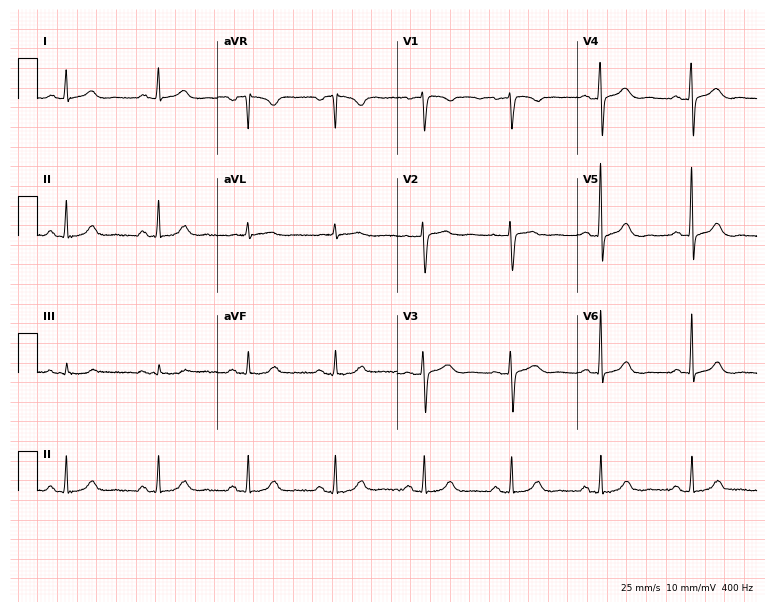
12-lead ECG from a 55-year-old woman (7.3-second recording at 400 Hz). Recorded interpretation: within normal limits.